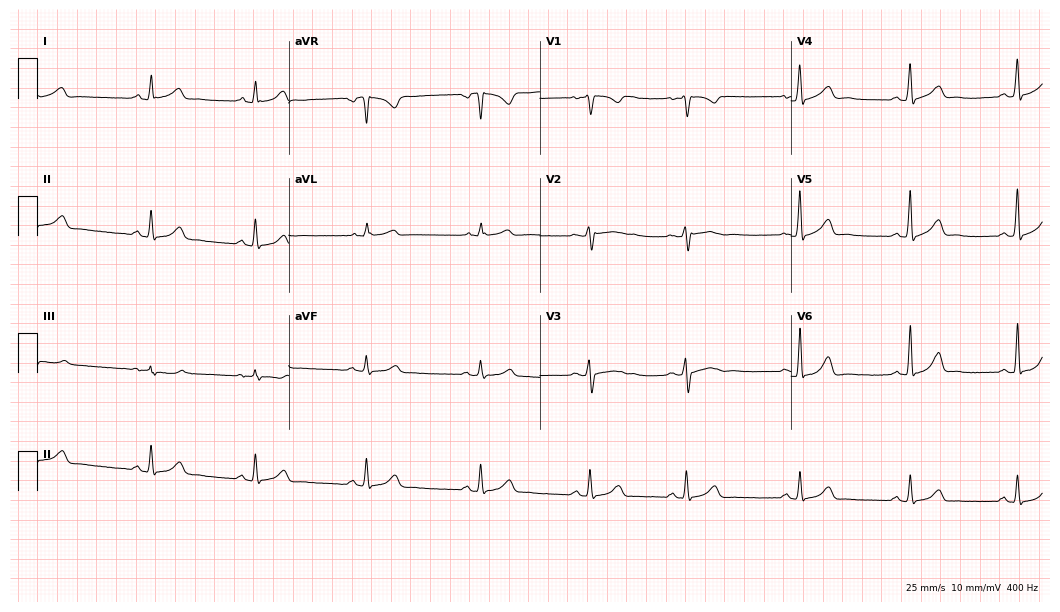
12-lead ECG (10.2-second recording at 400 Hz) from a 32-year-old woman. Labelled as a normal ECG.